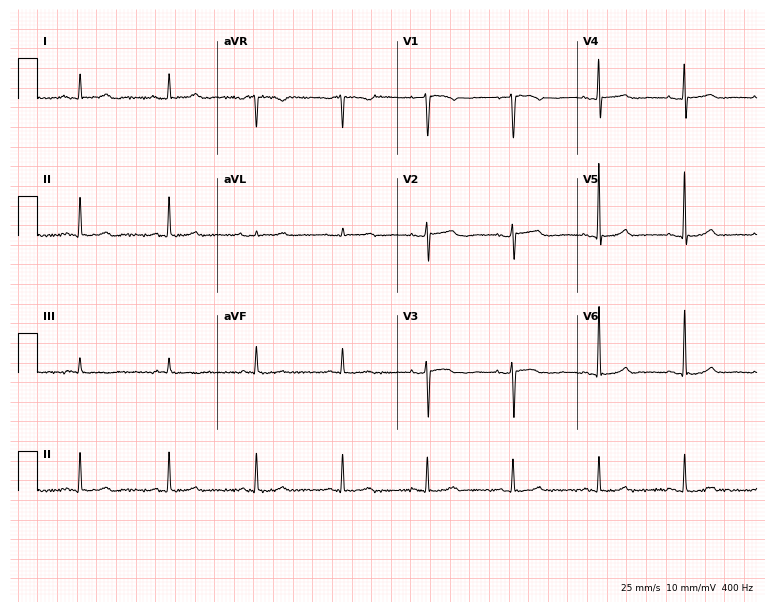
12-lead ECG from a female, 81 years old (7.3-second recording at 400 Hz). No first-degree AV block, right bundle branch block (RBBB), left bundle branch block (LBBB), sinus bradycardia, atrial fibrillation (AF) or sinus tachycardia recorded for this tracing.